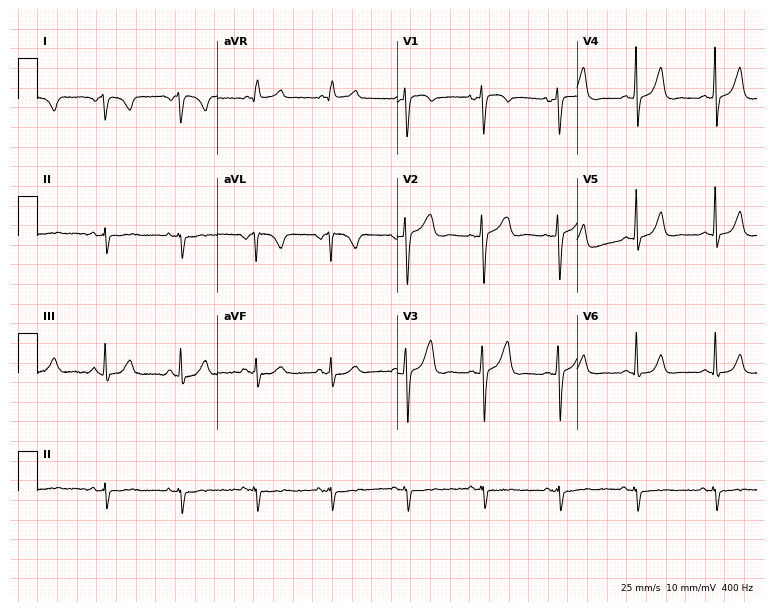
Electrocardiogram, a female, 41 years old. Of the six screened findings (first-degree AV block, right bundle branch block, left bundle branch block, sinus bradycardia, atrial fibrillation, sinus tachycardia), none is recorded.